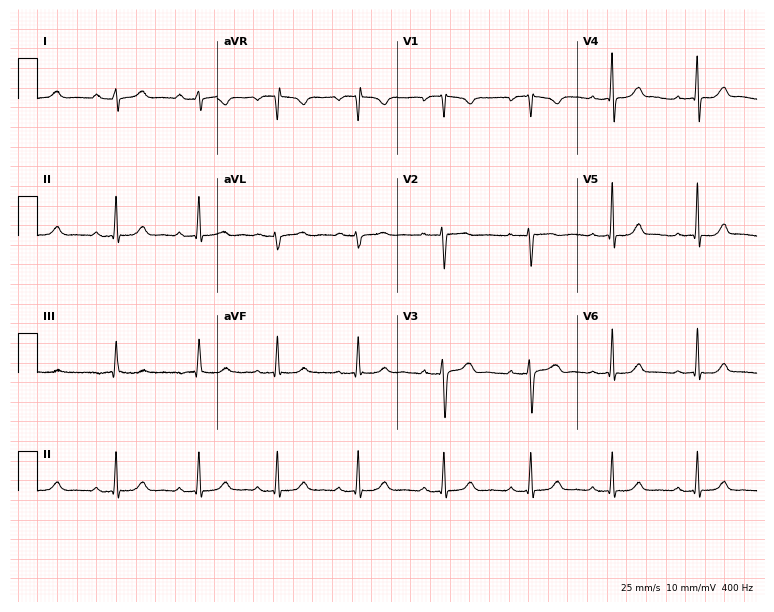
Resting 12-lead electrocardiogram. Patient: a 19-year-old female. Read as a normal ECG.